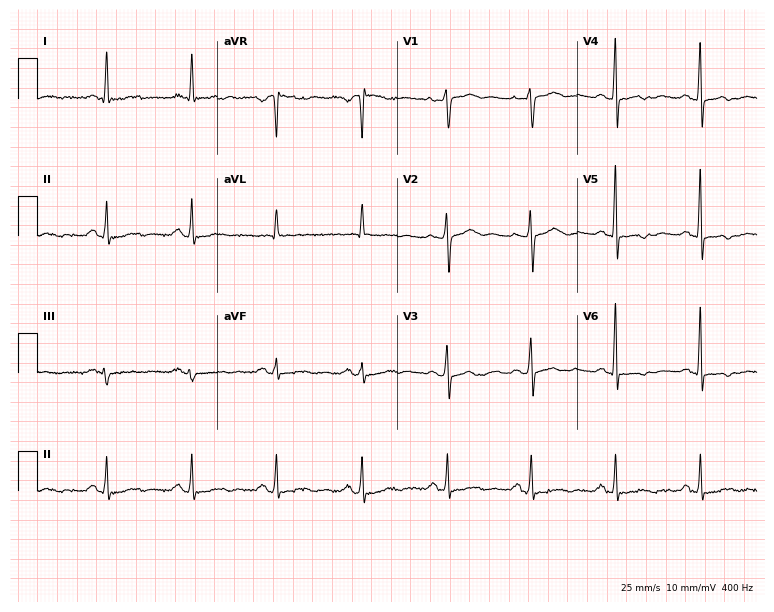
12-lead ECG from a 61-year-old woman (7.3-second recording at 400 Hz). No first-degree AV block, right bundle branch block, left bundle branch block, sinus bradycardia, atrial fibrillation or sinus tachycardia recorded for this tracing. Other findings, if any, are not listed.